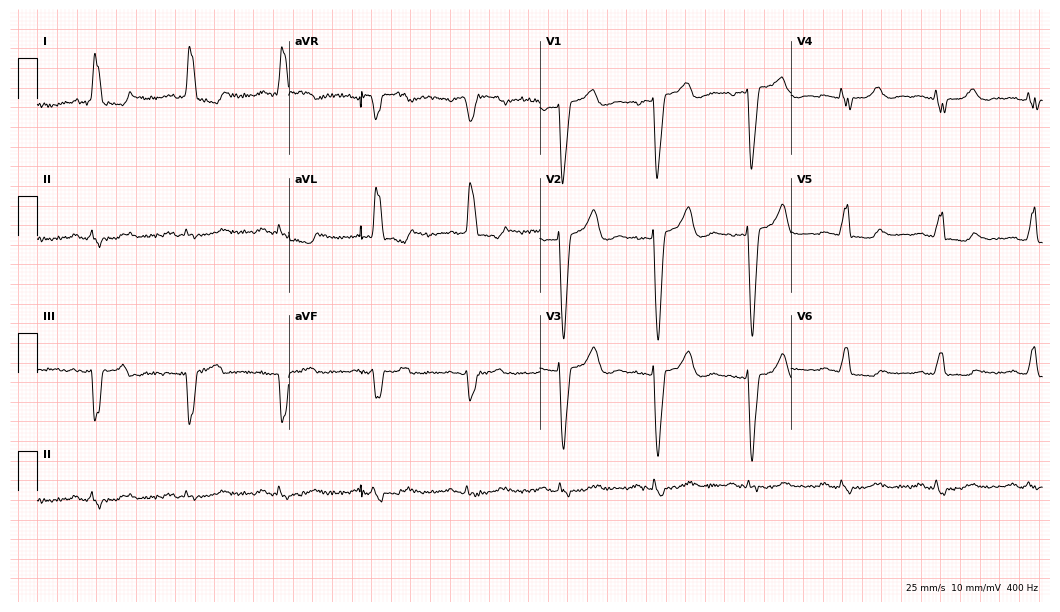
Standard 12-lead ECG recorded from an 84-year-old woman (10.2-second recording at 400 Hz). The tracing shows left bundle branch block.